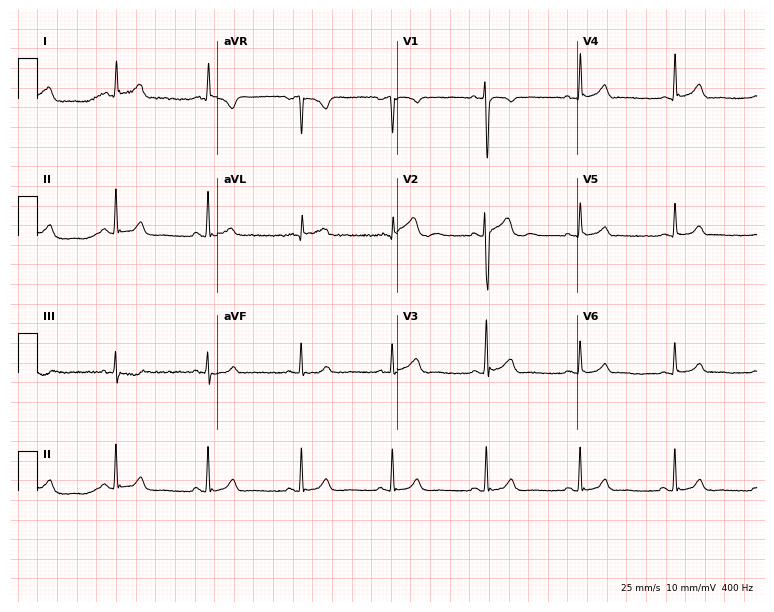
12-lead ECG from a 23-year-old man. No first-degree AV block, right bundle branch block, left bundle branch block, sinus bradycardia, atrial fibrillation or sinus tachycardia recorded for this tracing.